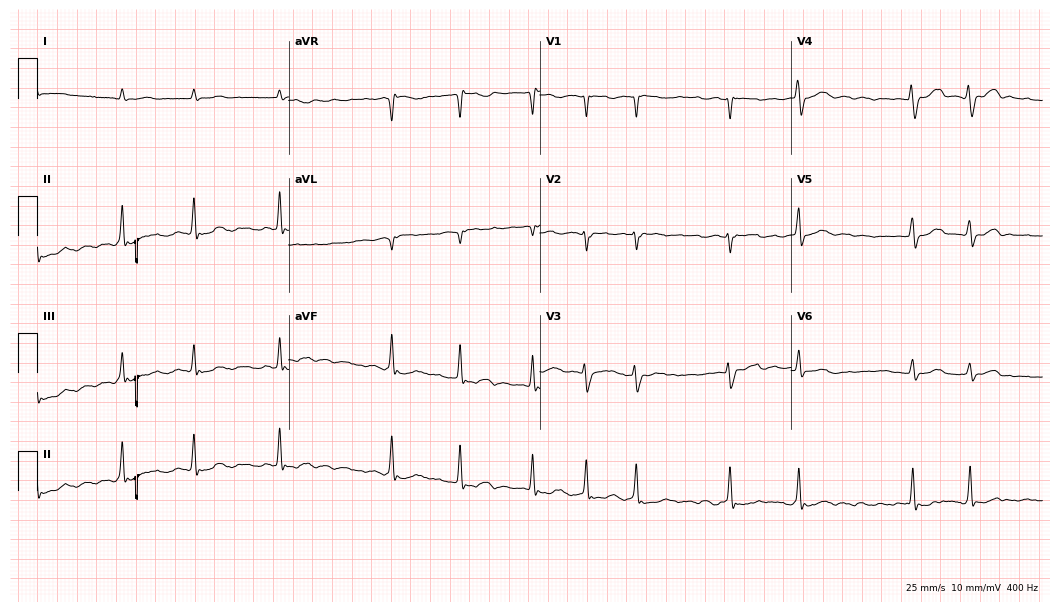
ECG — a man, 74 years old. Findings include atrial fibrillation.